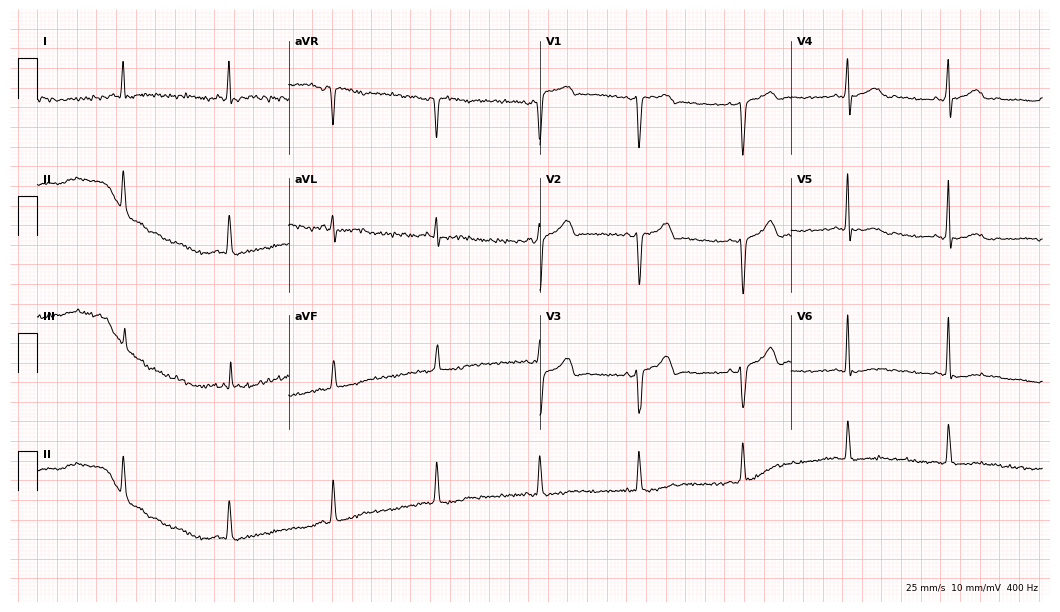
12-lead ECG from a 38-year-old man. Recorded interpretation: within normal limits.